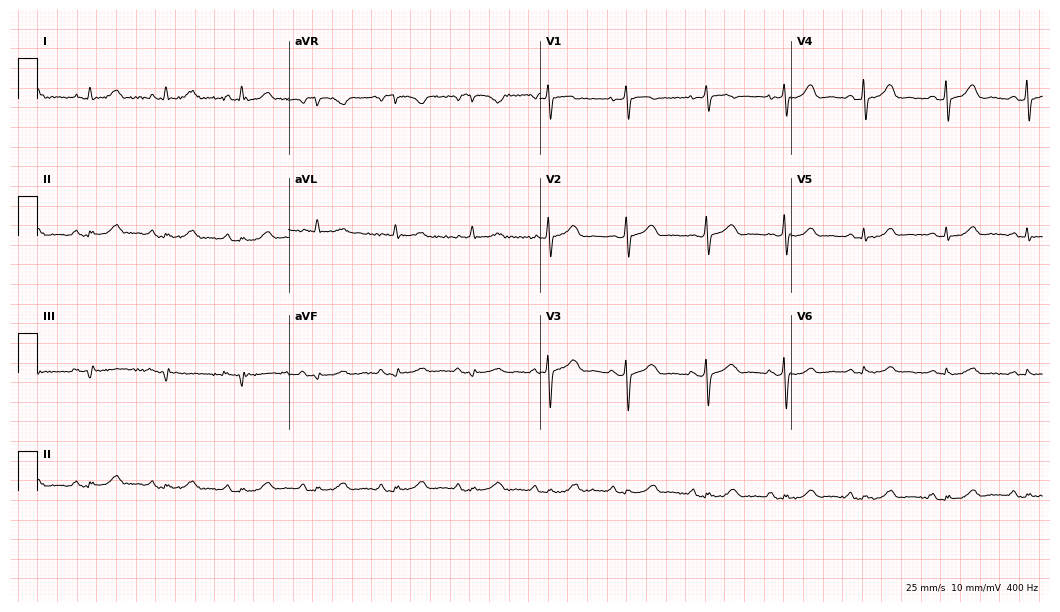
ECG (10.2-second recording at 400 Hz) — a 75-year-old female patient. Screened for six findings — first-degree AV block, right bundle branch block, left bundle branch block, sinus bradycardia, atrial fibrillation, sinus tachycardia — none is recorded. Other findings, if any, are not listed.